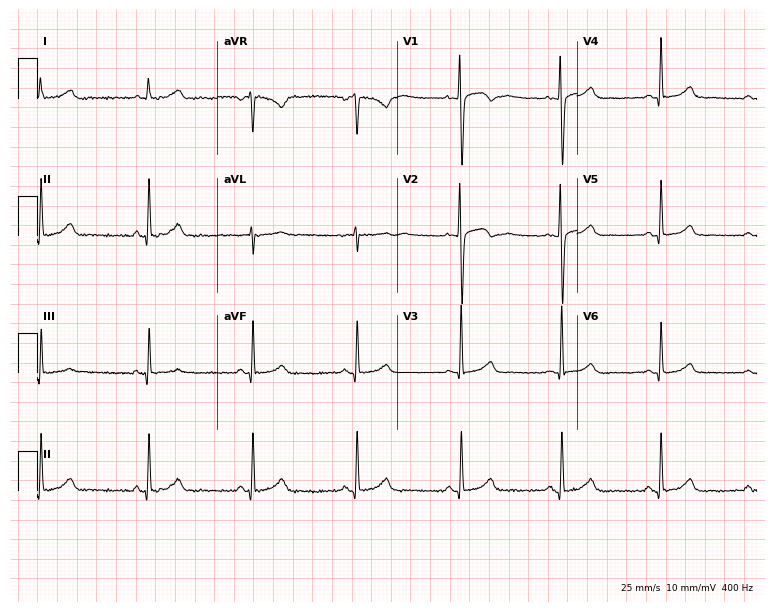
Standard 12-lead ECG recorded from a 28-year-old female (7.3-second recording at 400 Hz). Read as a normal ECG.